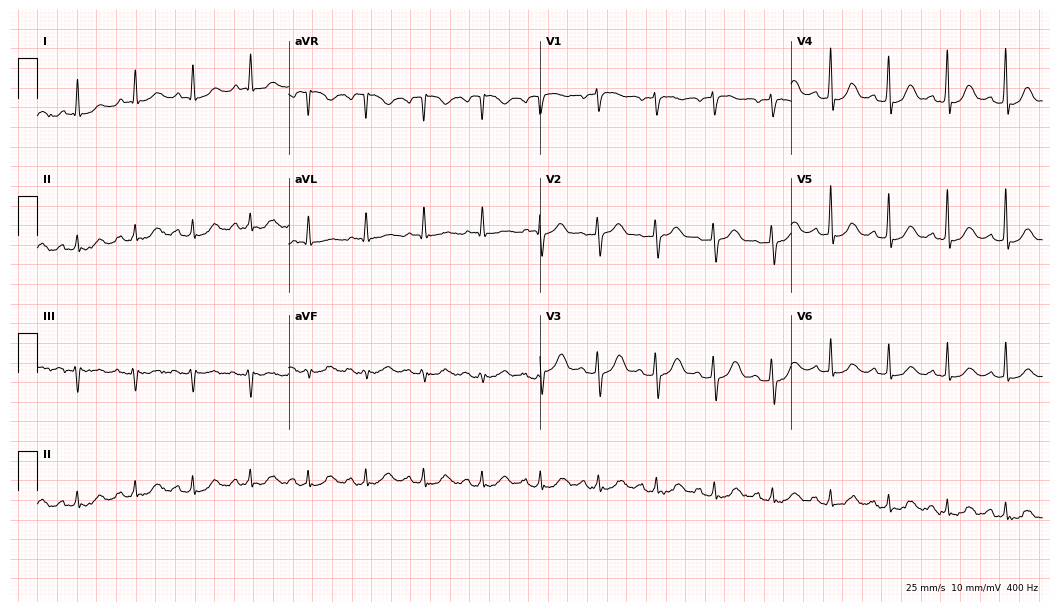
Standard 12-lead ECG recorded from a 73-year-old man. None of these six findings is recorded: first-degree AV block, right bundle branch block (RBBB), left bundle branch block (LBBB), sinus bradycardia, atrial fibrillation (AF), sinus tachycardia.